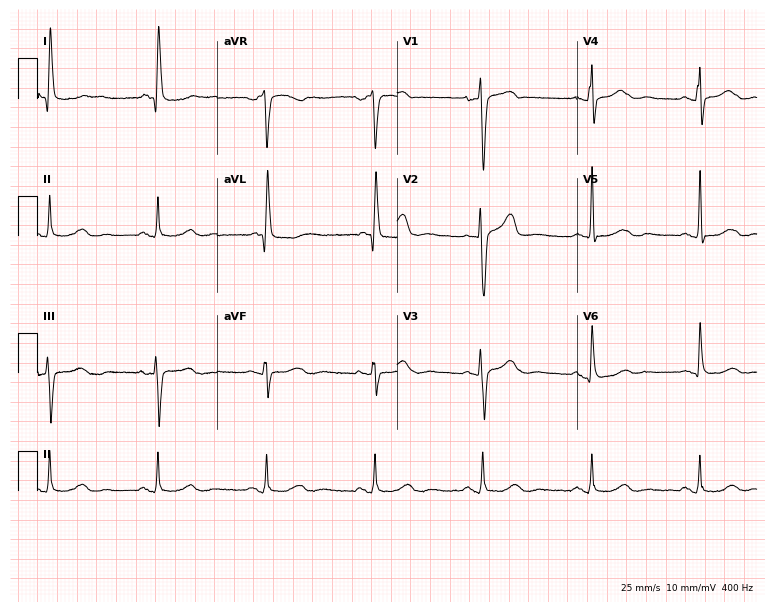
Resting 12-lead electrocardiogram (7.3-second recording at 400 Hz). Patient: a female, 64 years old. Read as a normal ECG.